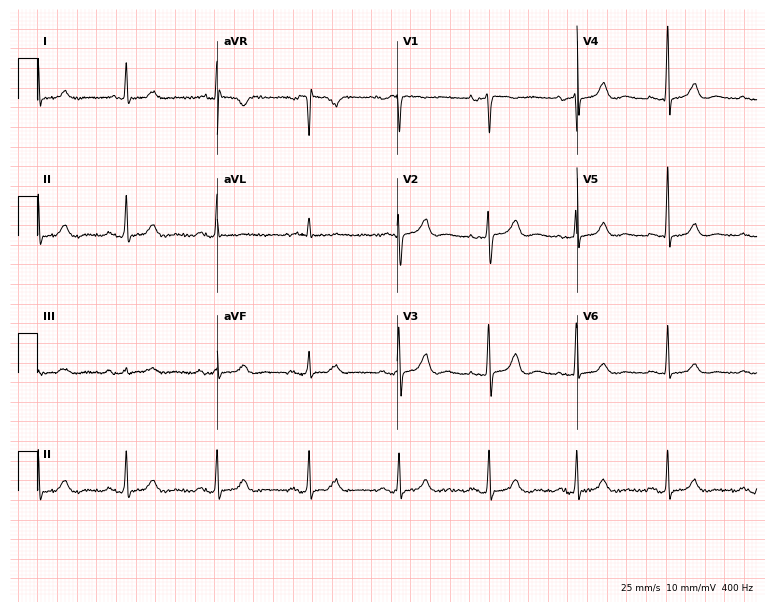
Resting 12-lead electrocardiogram. Patient: an 85-year-old woman. Read as a normal ECG.